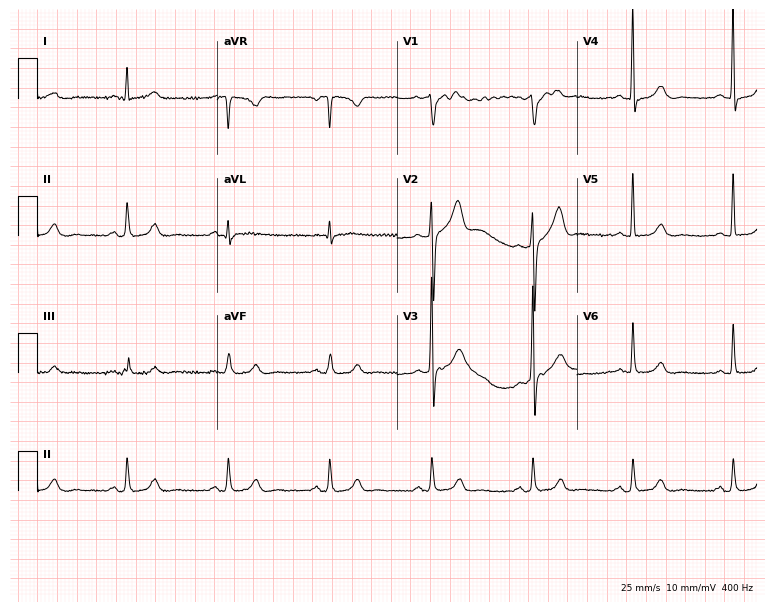
ECG — a male patient, 52 years old. Labelled as a normal ECG.